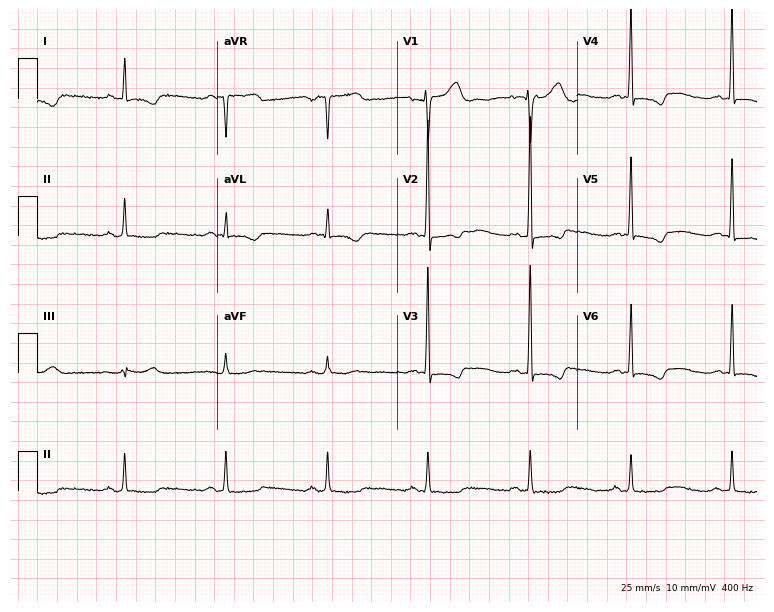
Resting 12-lead electrocardiogram (7.3-second recording at 400 Hz). Patient: a 67-year-old man. None of these six findings is recorded: first-degree AV block, right bundle branch block, left bundle branch block, sinus bradycardia, atrial fibrillation, sinus tachycardia. Findings outside these six are not listed.